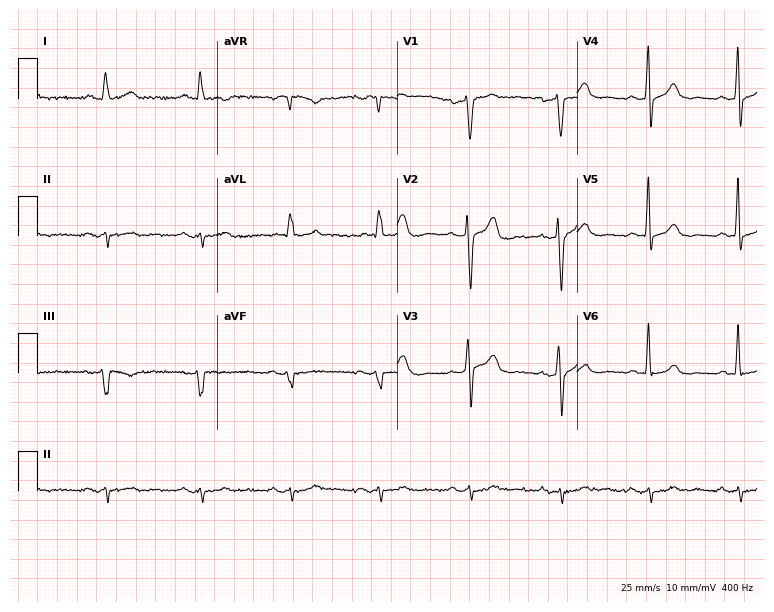
12-lead ECG from a 58-year-old man (7.3-second recording at 400 Hz). No first-degree AV block, right bundle branch block (RBBB), left bundle branch block (LBBB), sinus bradycardia, atrial fibrillation (AF) or sinus tachycardia recorded for this tracing. Only these six findings were labelled.